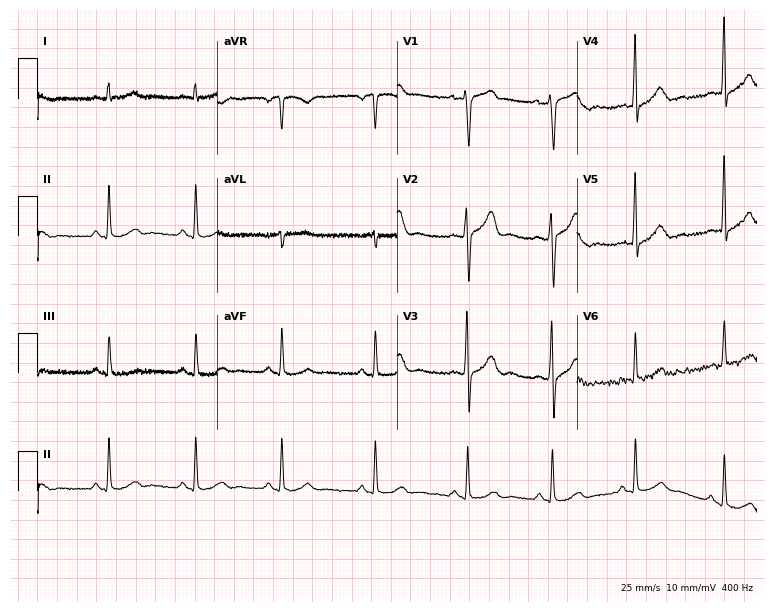
Standard 12-lead ECG recorded from a male, 52 years old. None of these six findings is recorded: first-degree AV block, right bundle branch block (RBBB), left bundle branch block (LBBB), sinus bradycardia, atrial fibrillation (AF), sinus tachycardia. Only these six findings were labelled.